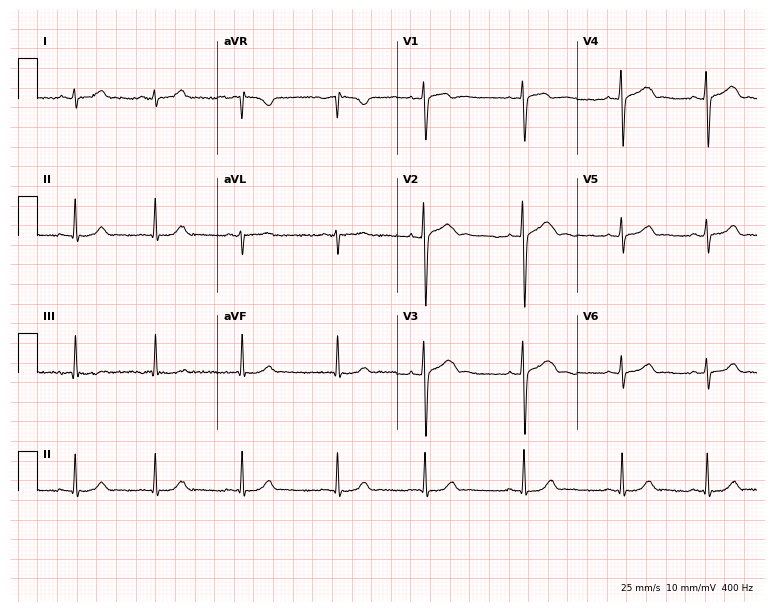
12-lead ECG from a female patient, 23 years old. No first-degree AV block, right bundle branch block (RBBB), left bundle branch block (LBBB), sinus bradycardia, atrial fibrillation (AF) or sinus tachycardia recorded for this tracing.